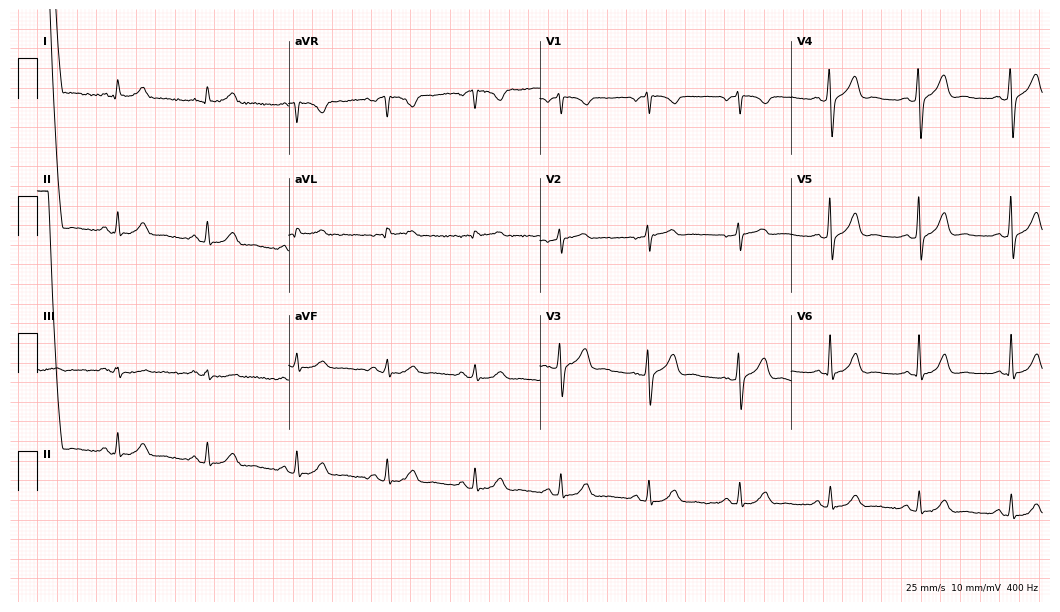
Standard 12-lead ECG recorded from a male, 55 years old (10.2-second recording at 400 Hz). Read as a normal ECG.